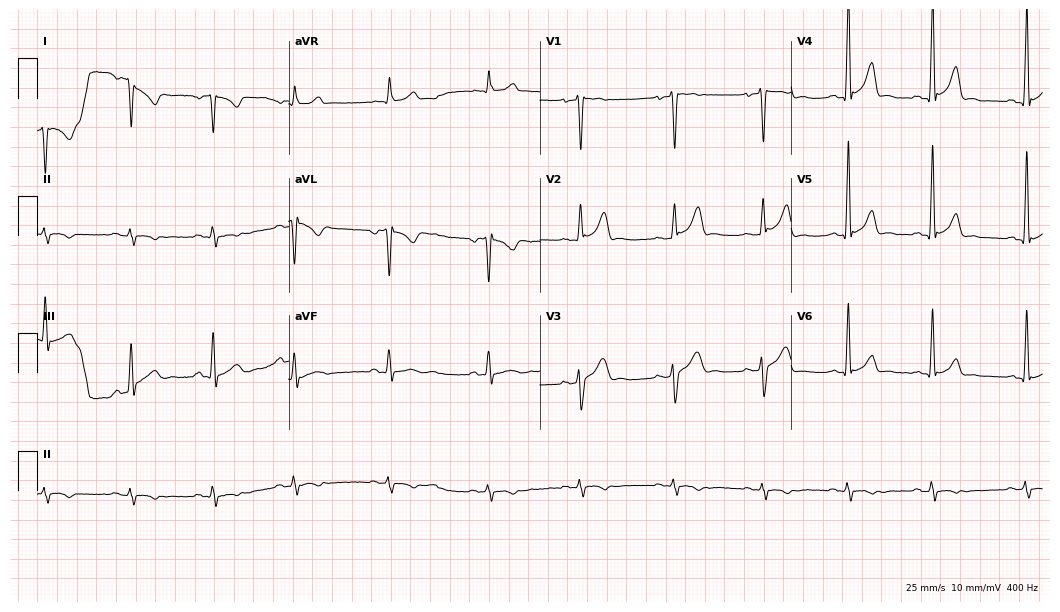
ECG — a man, 20 years old. Screened for six findings — first-degree AV block, right bundle branch block (RBBB), left bundle branch block (LBBB), sinus bradycardia, atrial fibrillation (AF), sinus tachycardia — none is recorded. Other findings, if any, are not listed.